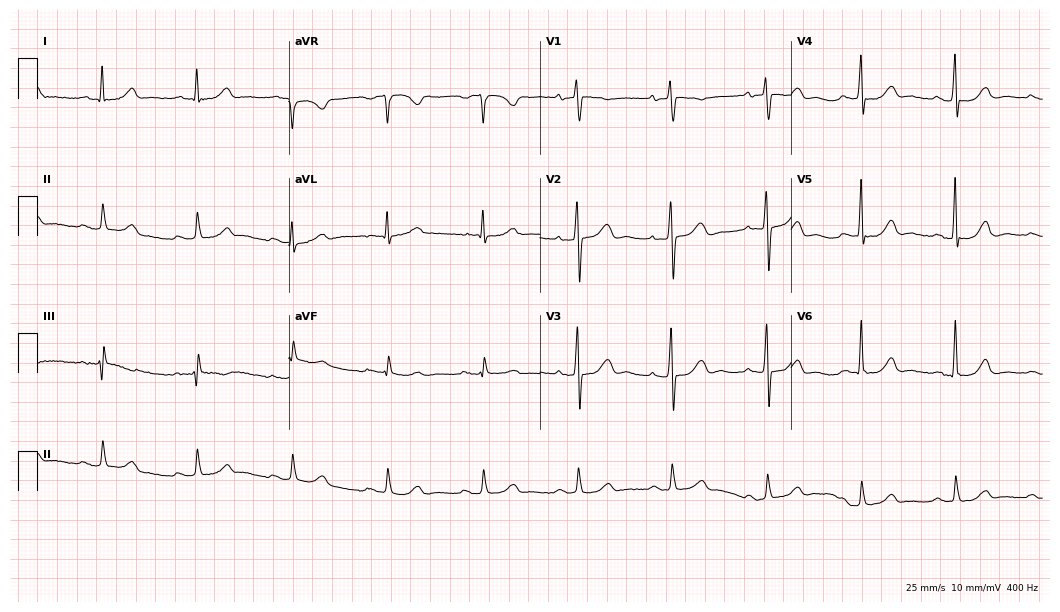
Resting 12-lead electrocardiogram (10.2-second recording at 400 Hz). Patient: a female, 72 years old. None of these six findings is recorded: first-degree AV block, right bundle branch block (RBBB), left bundle branch block (LBBB), sinus bradycardia, atrial fibrillation (AF), sinus tachycardia.